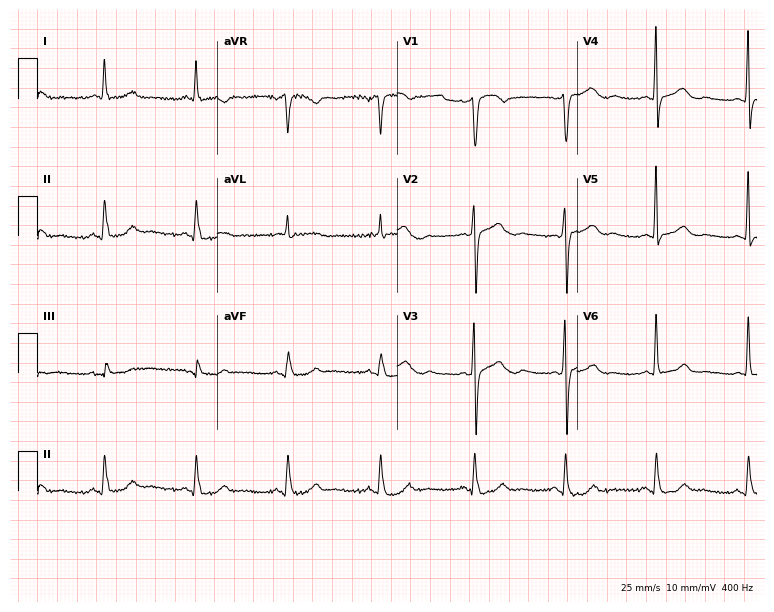
Electrocardiogram, a 54-year-old female patient. Of the six screened findings (first-degree AV block, right bundle branch block, left bundle branch block, sinus bradycardia, atrial fibrillation, sinus tachycardia), none is recorded.